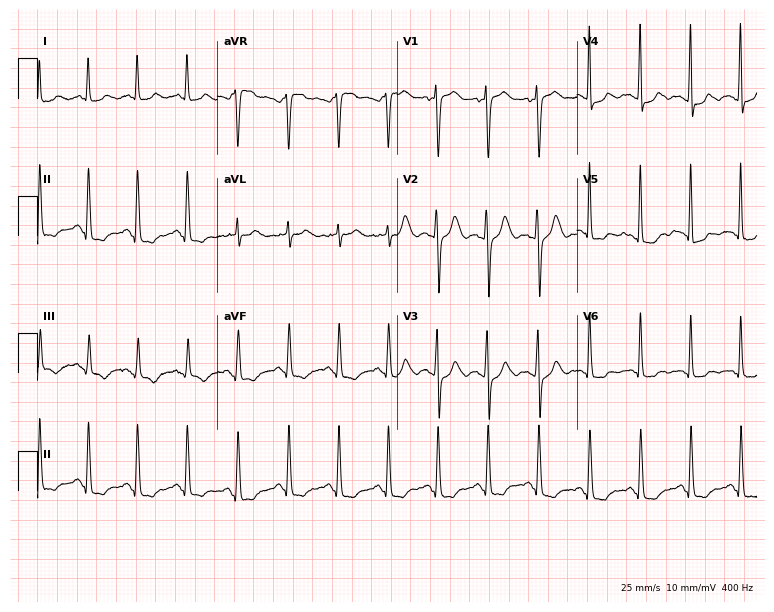
ECG — a 45-year-old female. Findings include sinus tachycardia (a sinus rate of 100 beats per minute or more).